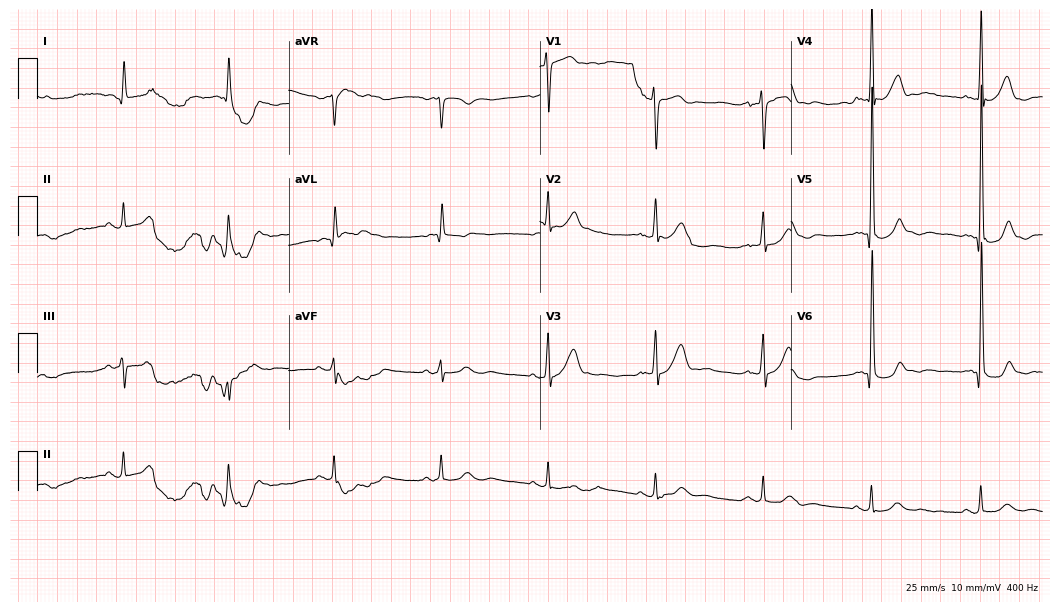
Electrocardiogram, a man, 83 years old. Of the six screened findings (first-degree AV block, right bundle branch block, left bundle branch block, sinus bradycardia, atrial fibrillation, sinus tachycardia), none is recorded.